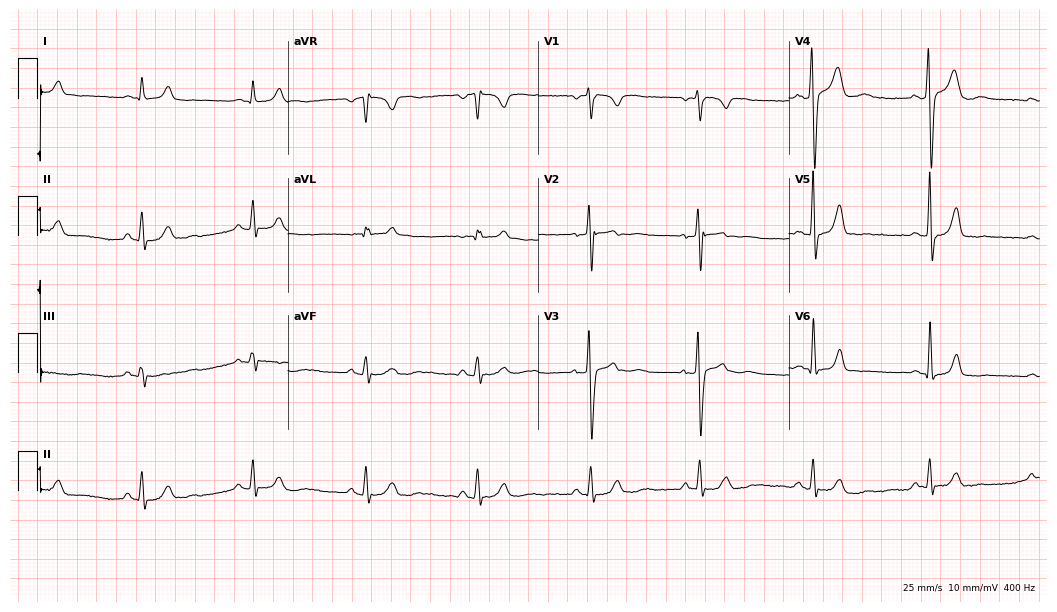
Resting 12-lead electrocardiogram (10.2-second recording at 400 Hz). Patient: a 36-year-old male. None of these six findings is recorded: first-degree AV block, right bundle branch block (RBBB), left bundle branch block (LBBB), sinus bradycardia, atrial fibrillation (AF), sinus tachycardia. Other findings, if any, are not listed.